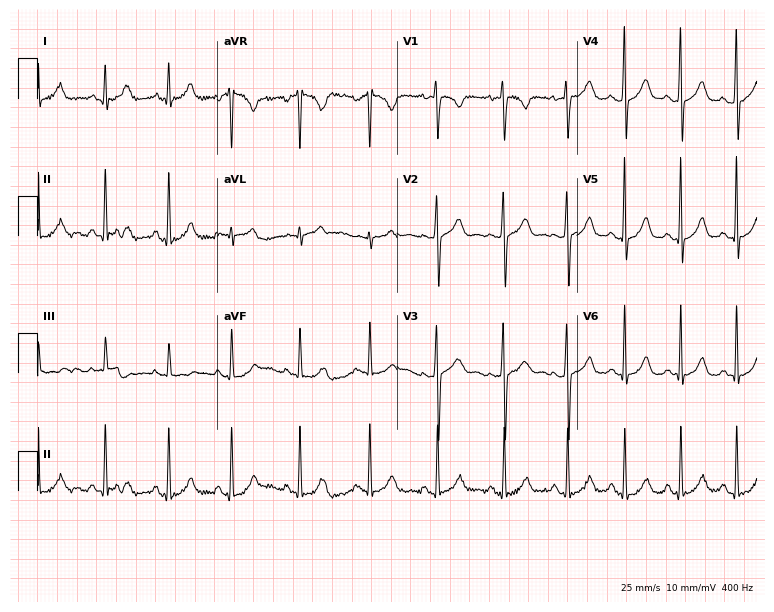
12-lead ECG from a 17-year-old female. No first-degree AV block, right bundle branch block, left bundle branch block, sinus bradycardia, atrial fibrillation or sinus tachycardia recorded for this tracing.